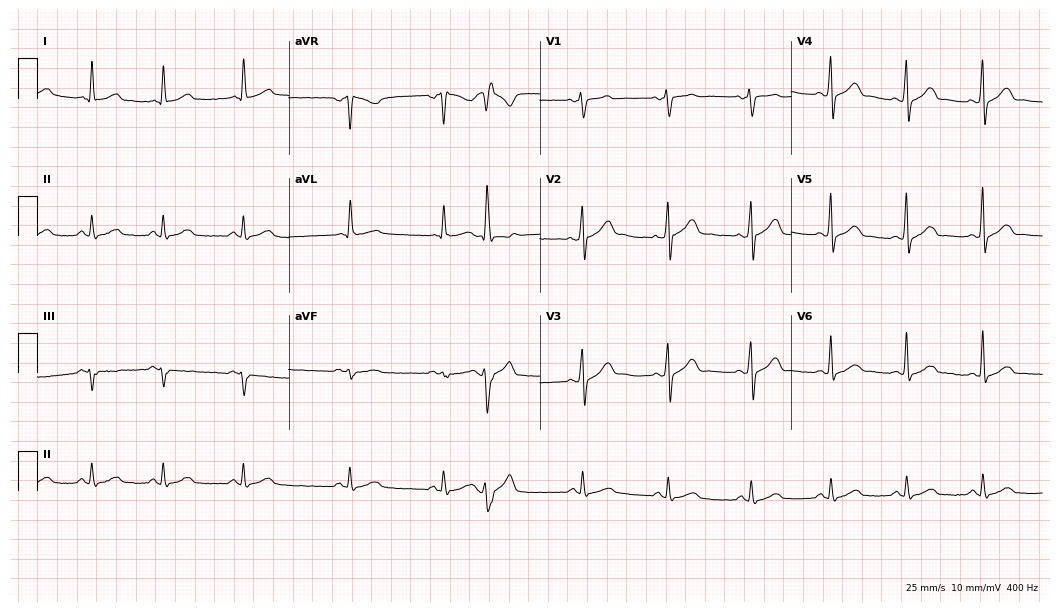
Resting 12-lead electrocardiogram (10.2-second recording at 400 Hz). Patient: a male, 41 years old. None of these six findings is recorded: first-degree AV block, right bundle branch block, left bundle branch block, sinus bradycardia, atrial fibrillation, sinus tachycardia. Other findings, if any, are not listed.